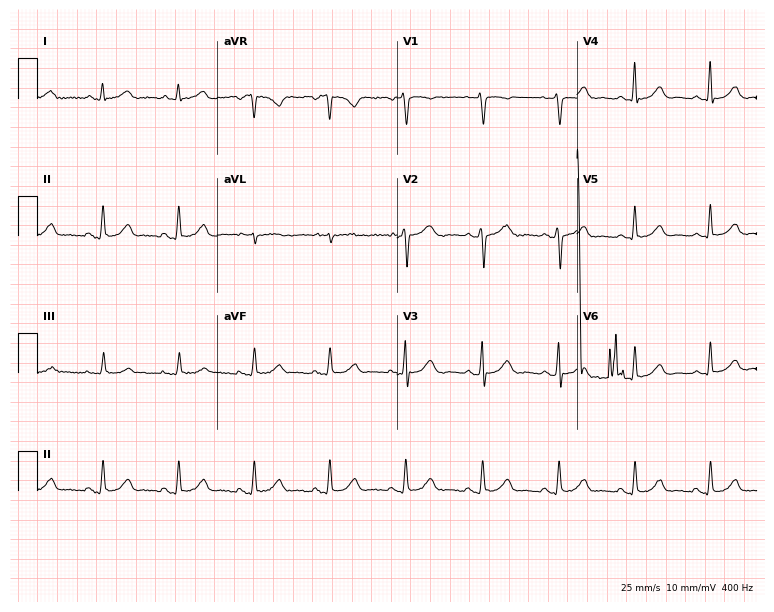
ECG (7.3-second recording at 400 Hz) — a female, 57 years old. Screened for six findings — first-degree AV block, right bundle branch block (RBBB), left bundle branch block (LBBB), sinus bradycardia, atrial fibrillation (AF), sinus tachycardia — none is recorded. Only these six findings were labelled.